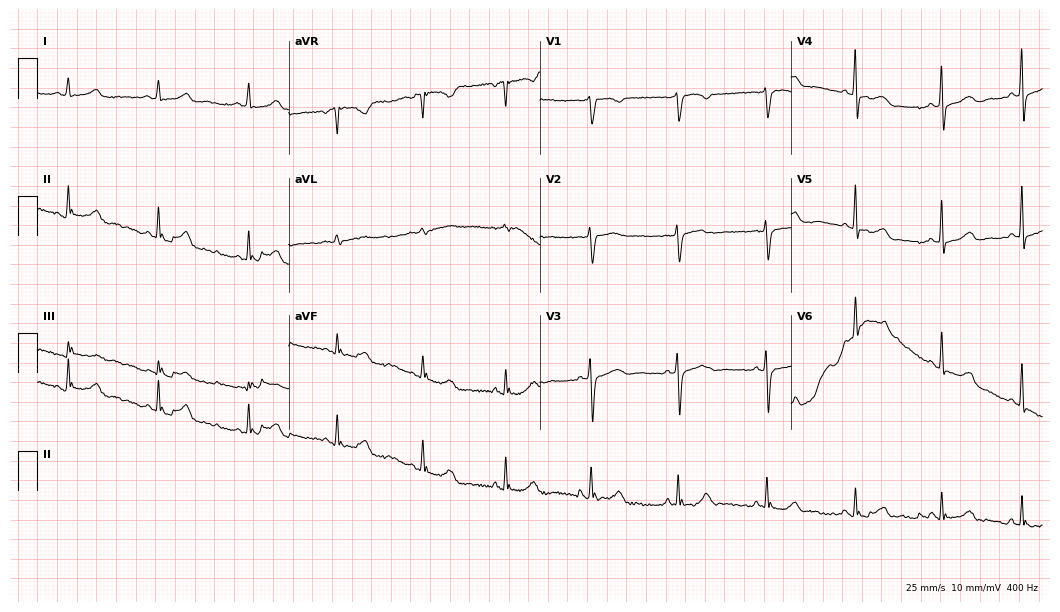
12-lead ECG (10.2-second recording at 400 Hz) from a 59-year-old woman. Labelled as a normal ECG.